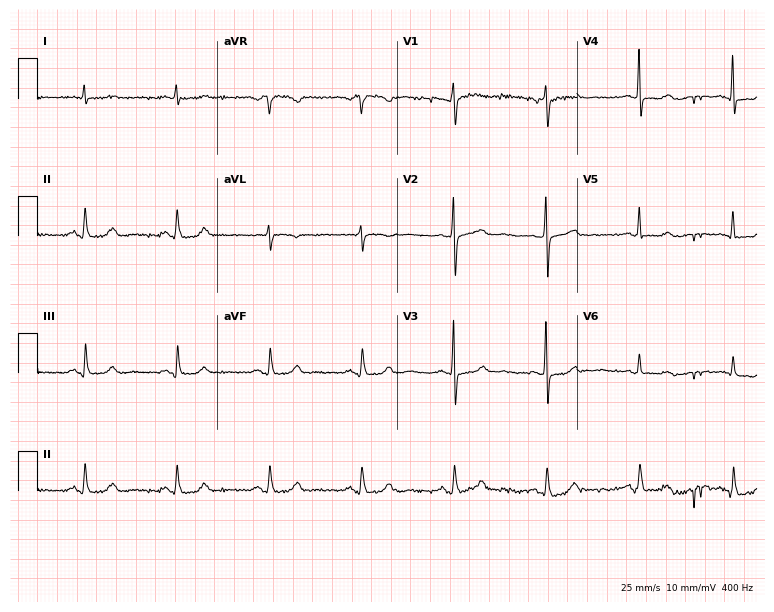
ECG (7.3-second recording at 400 Hz) — a female patient, 76 years old. Screened for six findings — first-degree AV block, right bundle branch block, left bundle branch block, sinus bradycardia, atrial fibrillation, sinus tachycardia — none is recorded. Findings outside these six are not listed.